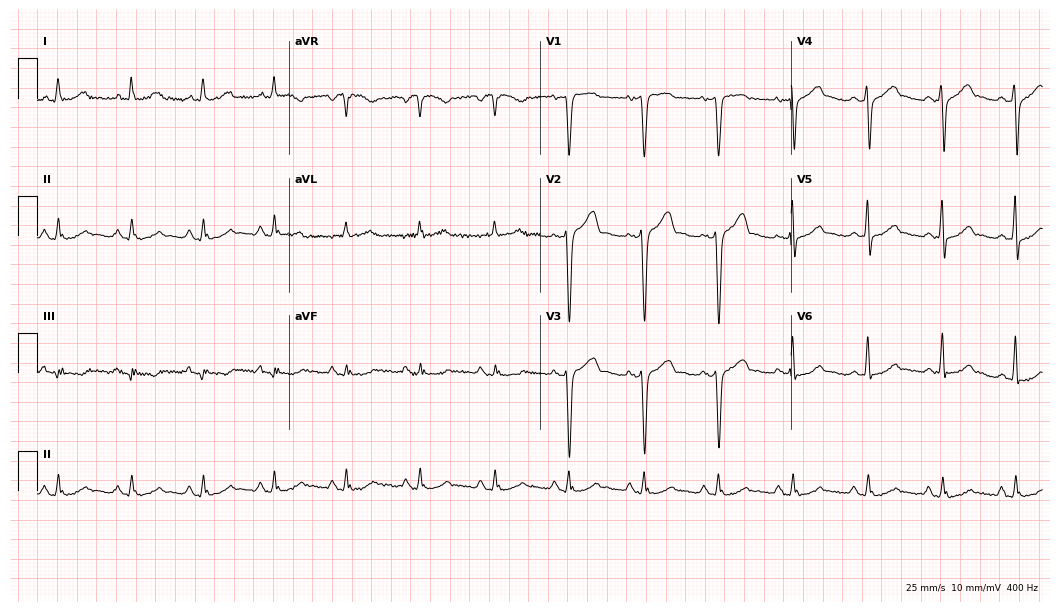
ECG — a female patient, 45 years old. Labelled as a normal ECG.